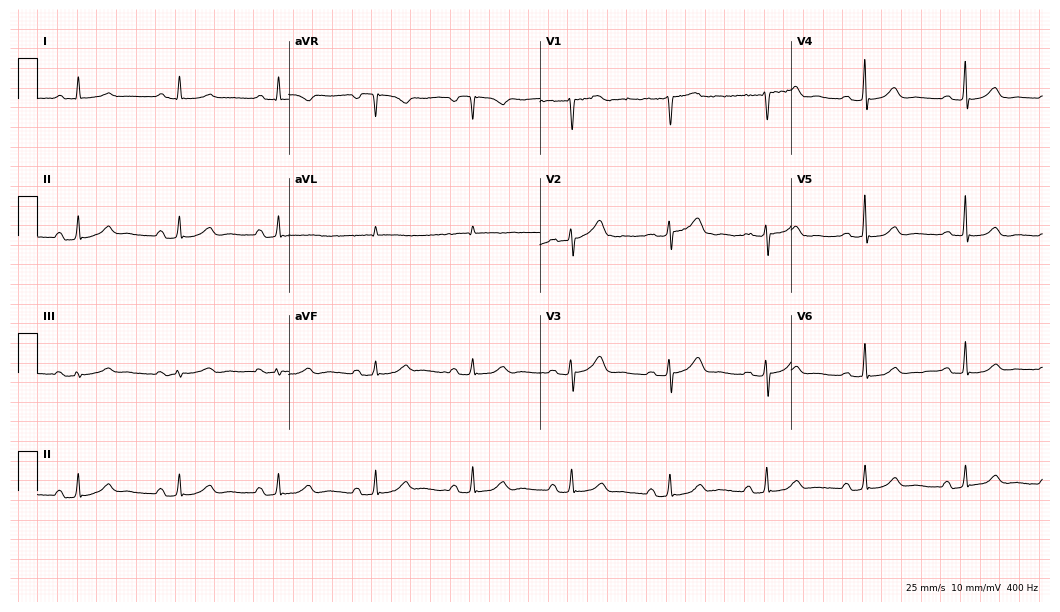
Standard 12-lead ECG recorded from a woman, 84 years old (10.2-second recording at 400 Hz). Read as a normal ECG.